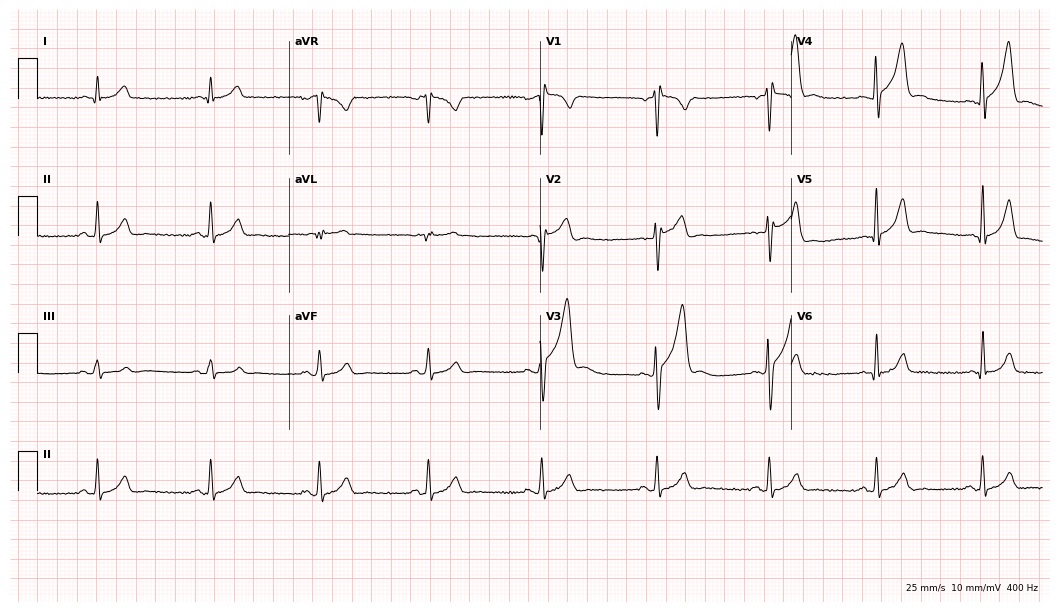
12-lead ECG from a 26-year-old male patient. No first-degree AV block, right bundle branch block, left bundle branch block, sinus bradycardia, atrial fibrillation or sinus tachycardia recorded for this tracing. Other findings, if any, are not listed.